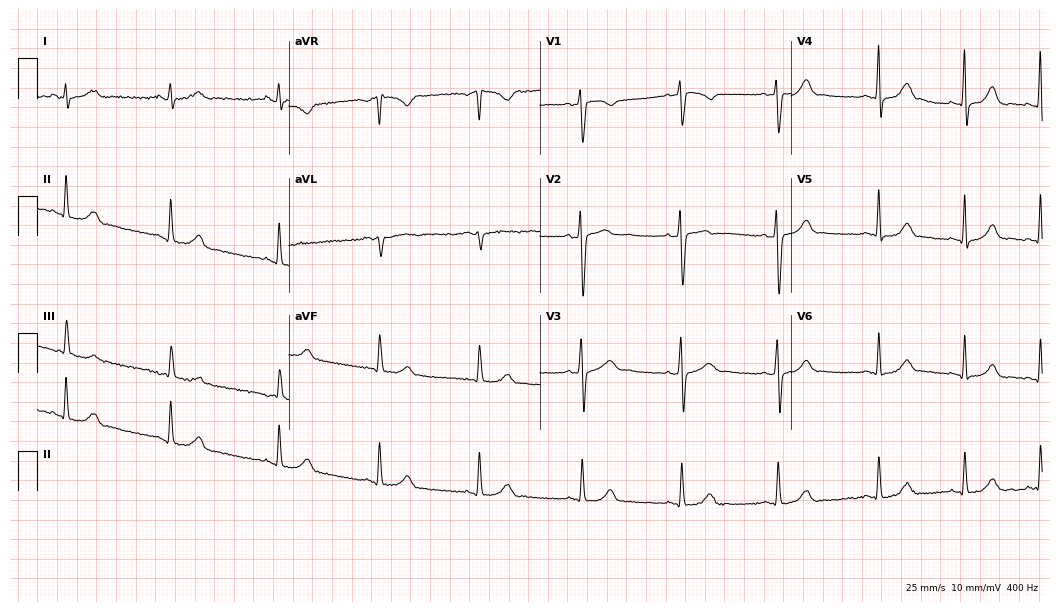
12-lead ECG from a 24-year-old female patient (10.2-second recording at 400 Hz). Recorded interpretation: within normal limits.